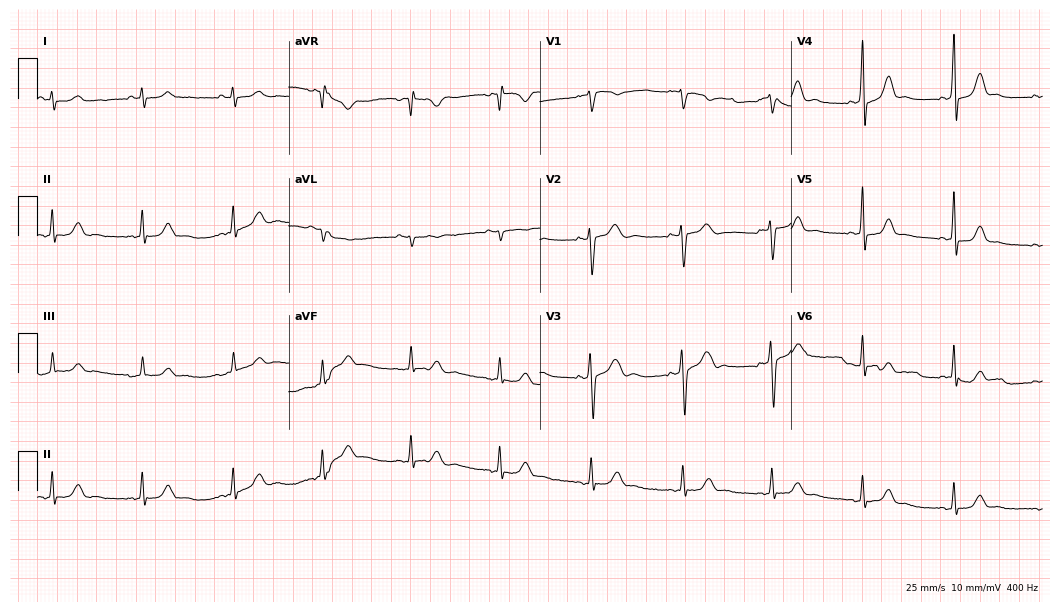
12-lead ECG from a male patient, 35 years old. Labelled as a normal ECG.